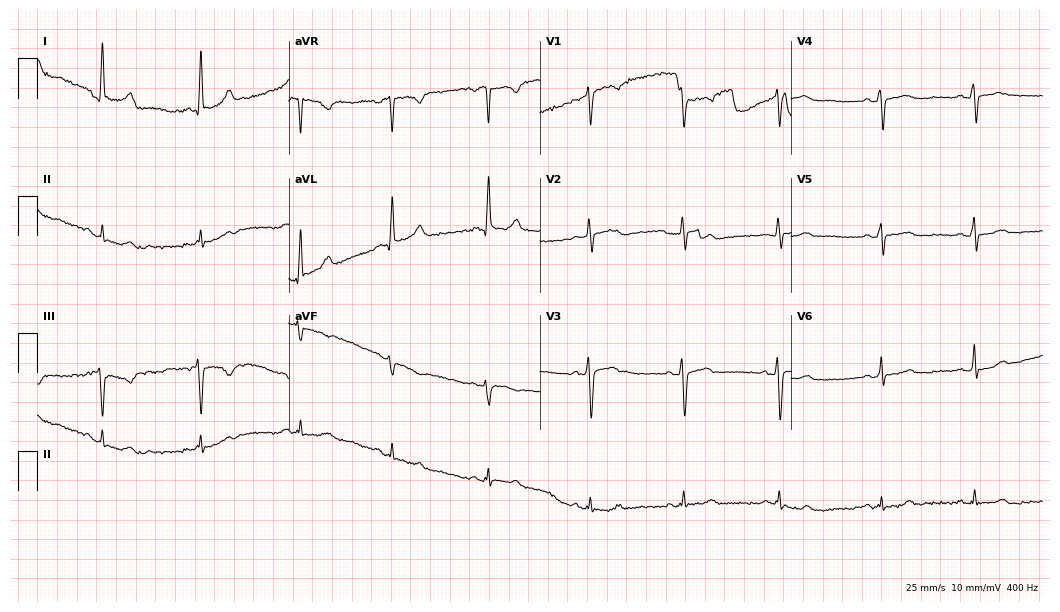
Resting 12-lead electrocardiogram. Patient: a 50-year-old female. None of these six findings is recorded: first-degree AV block, right bundle branch block, left bundle branch block, sinus bradycardia, atrial fibrillation, sinus tachycardia.